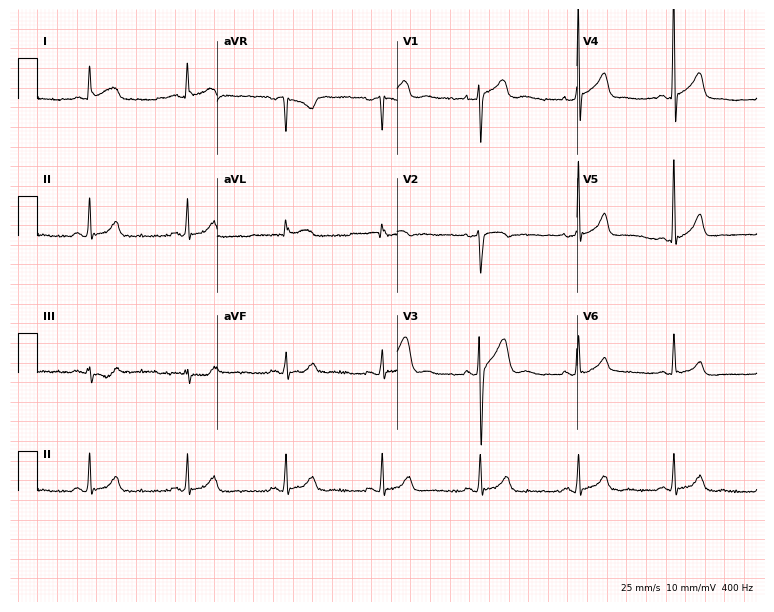
Standard 12-lead ECG recorded from a man, 56 years old (7.3-second recording at 400 Hz). Read as a normal ECG.